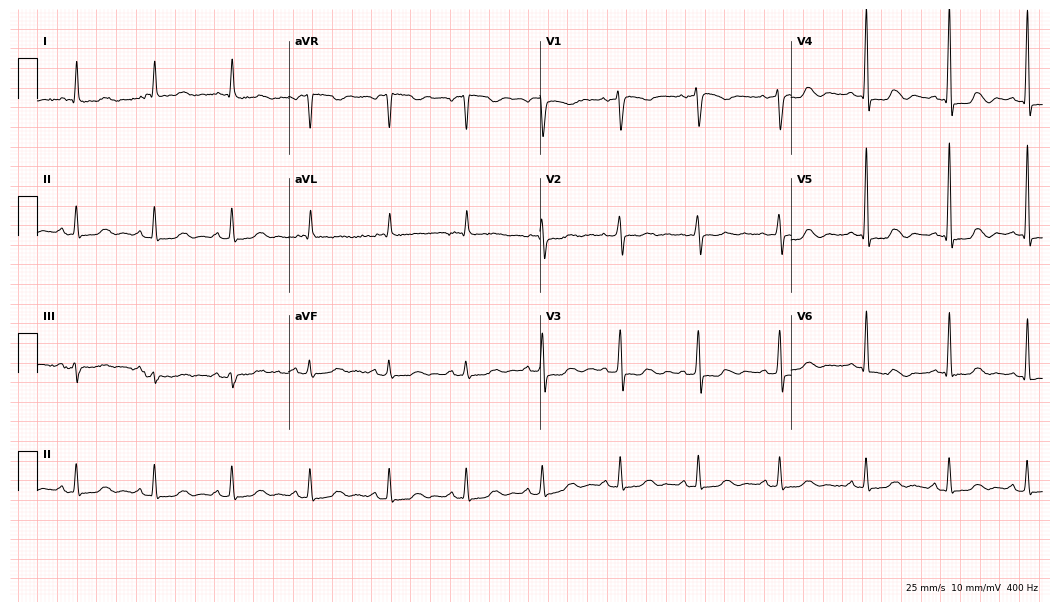
12-lead ECG from a female patient, 80 years old. Recorded interpretation: within normal limits.